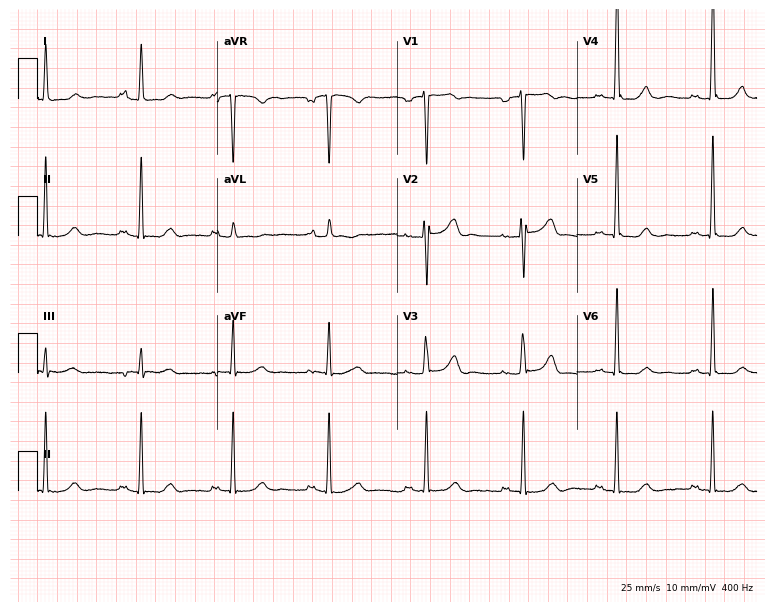
Resting 12-lead electrocardiogram (7.3-second recording at 400 Hz). Patient: a woman, 43 years old. Read as a normal ECG.